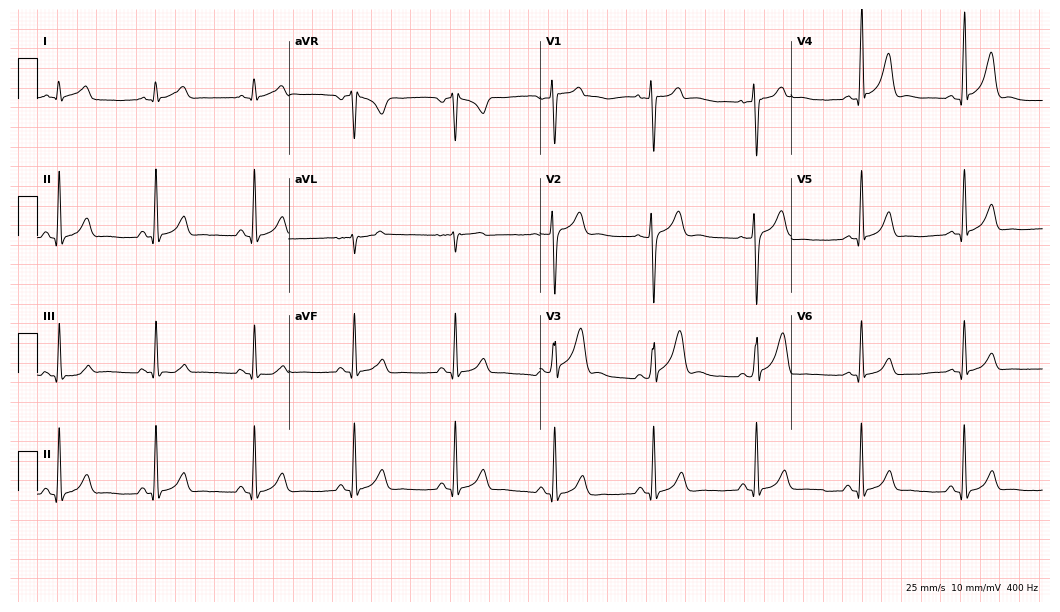
Electrocardiogram (10.2-second recording at 400 Hz), a man, 31 years old. Of the six screened findings (first-degree AV block, right bundle branch block, left bundle branch block, sinus bradycardia, atrial fibrillation, sinus tachycardia), none is recorded. Other findings, if any, are not listed.